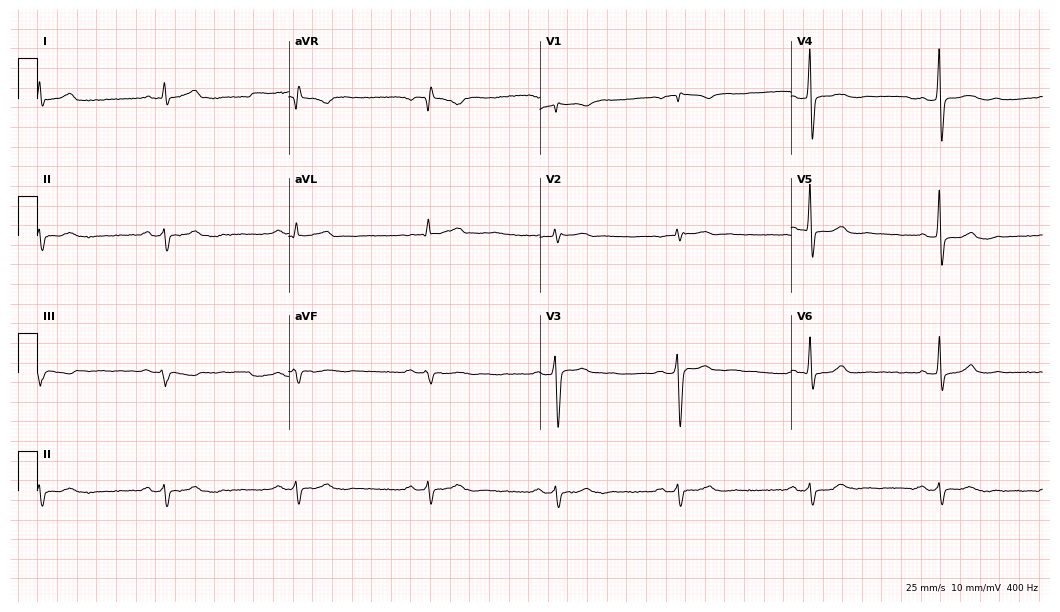
Electrocardiogram (10.2-second recording at 400 Hz), a male patient, 47 years old. Interpretation includes first-degree AV block, sinus bradycardia (a sinus rate of 50 beats per minute or less).